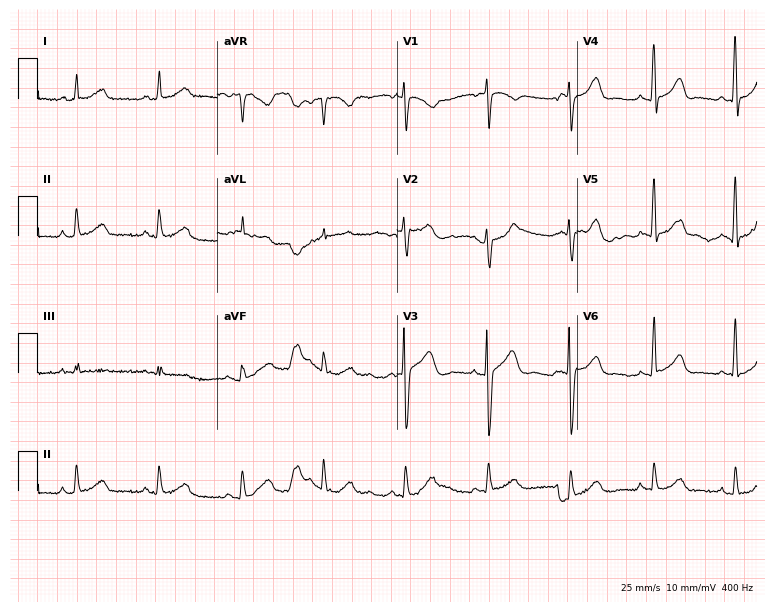
ECG — a 66-year-old female patient. Labelled as a normal ECG.